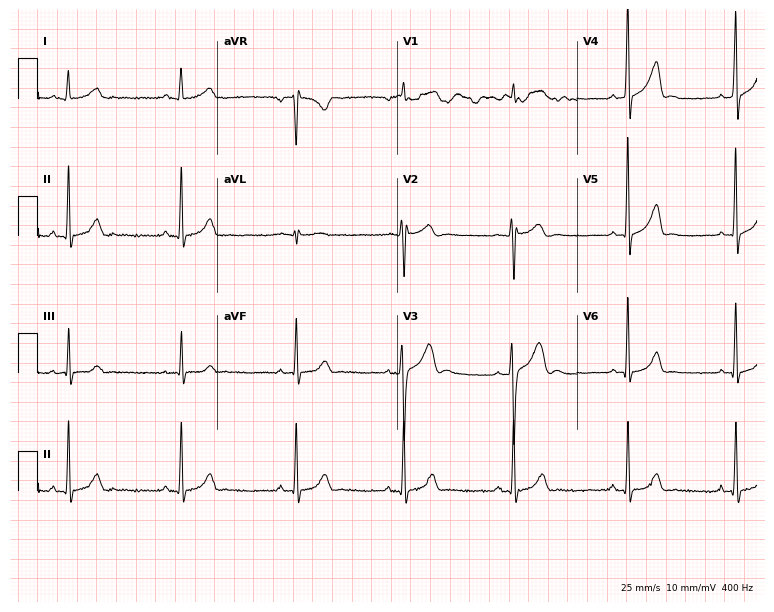
Standard 12-lead ECG recorded from an 18-year-old male patient. Read as a normal ECG.